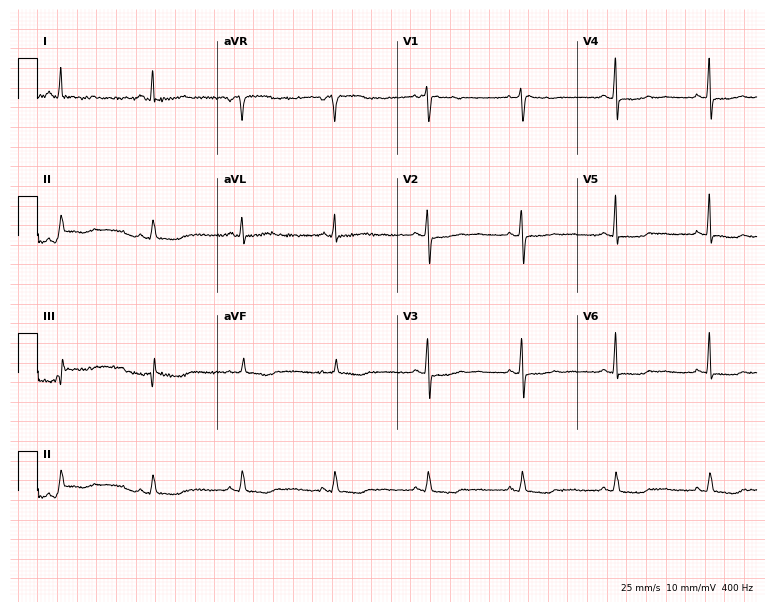
Electrocardiogram (7.3-second recording at 400 Hz), a female, 67 years old. Of the six screened findings (first-degree AV block, right bundle branch block (RBBB), left bundle branch block (LBBB), sinus bradycardia, atrial fibrillation (AF), sinus tachycardia), none is recorded.